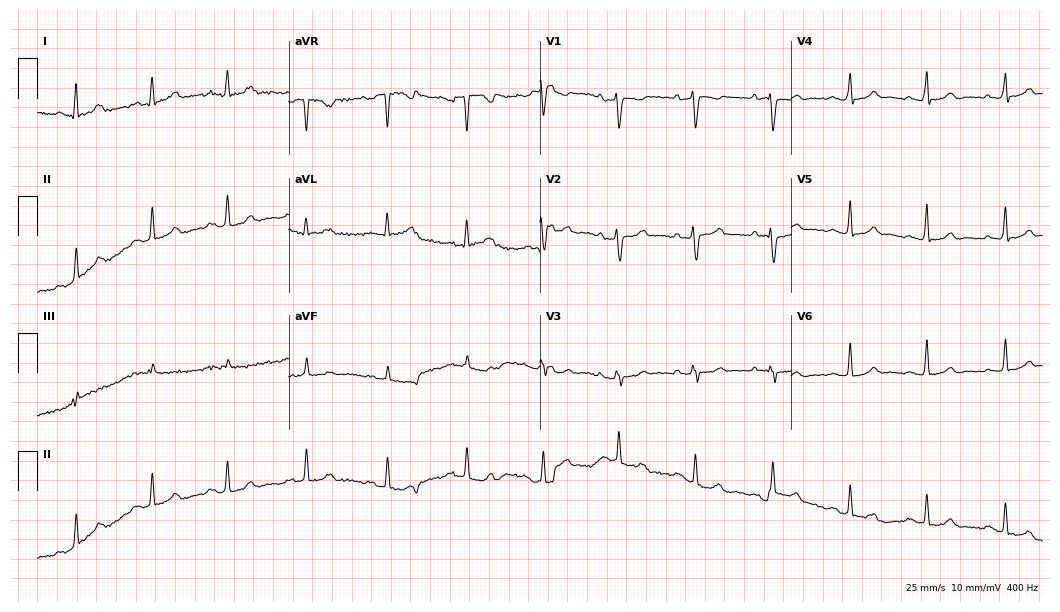
Resting 12-lead electrocardiogram (10.2-second recording at 400 Hz). Patient: a woman, 38 years old. Read as a normal ECG.